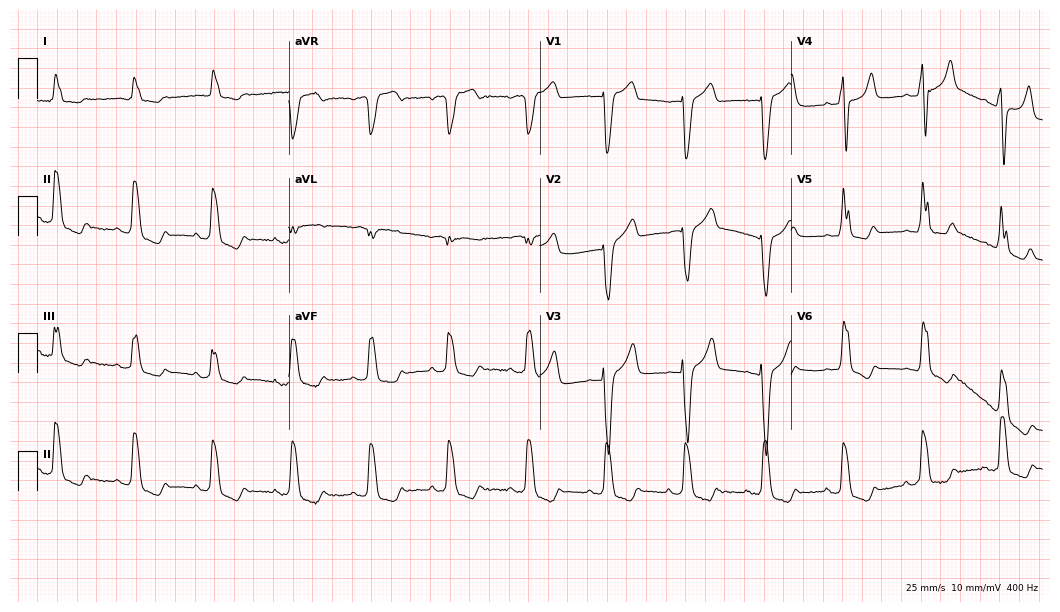
Electrocardiogram, a woman, 83 years old. Interpretation includes left bundle branch block (LBBB).